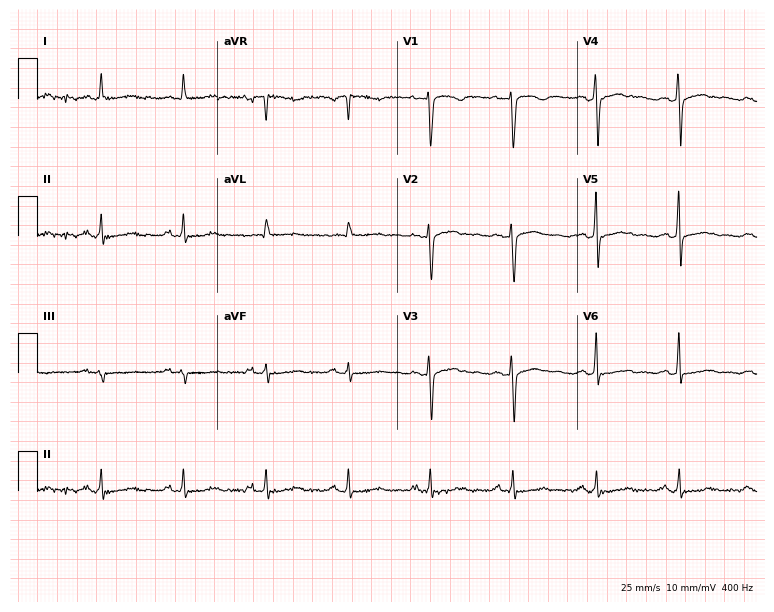
12-lead ECG from a 63-year-old female. Recorded interpretation: within normal limits.